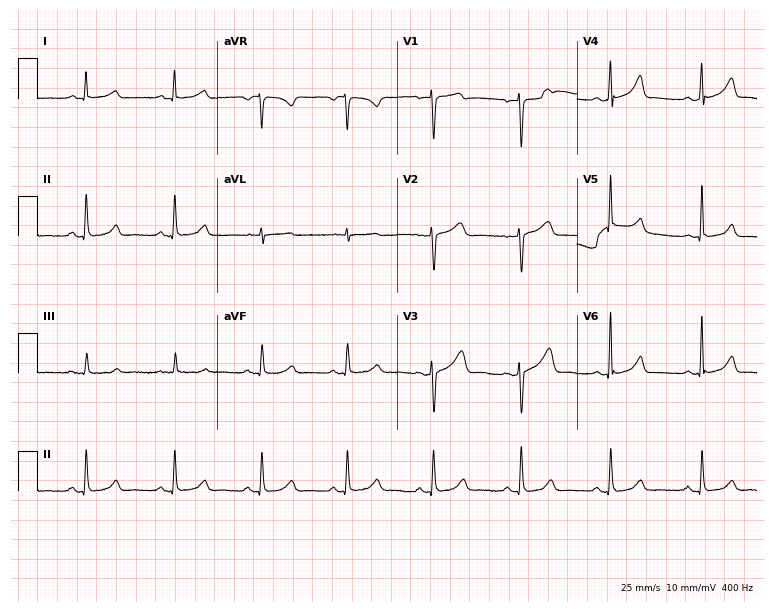
Electrocardiogram, a female patient, 42 years old. Overall reading on record: normal ECG.